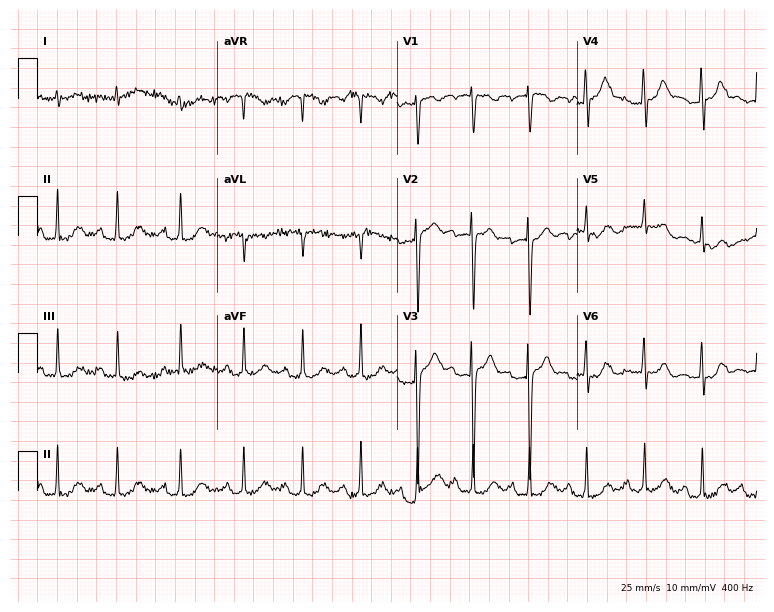
Standard 12-lead ECG recorded from a 24-year-old male. The tracing shows sinus tachycardia (a sinus rate of 100 beats per minute or more).